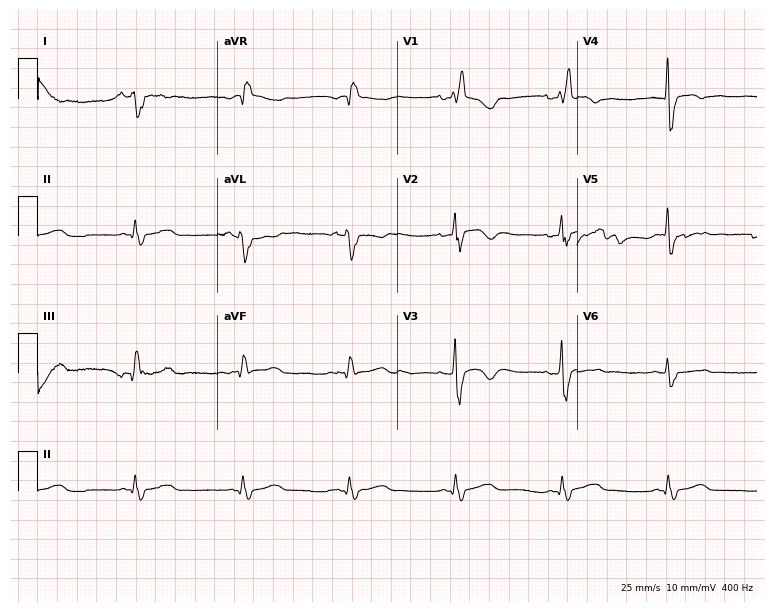
Resting 12-lead electrocardiogram. Patient: a male, 36 years old. The tracing shows right bundle branch block.